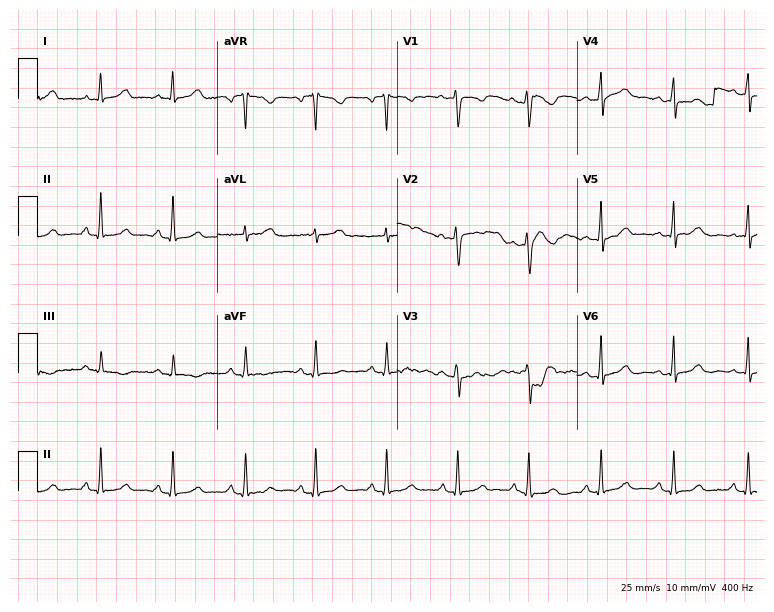
ECG (7.3-second recording at 400 Hz) — a 42-year-old female patient. Labelled as a normal ECG.